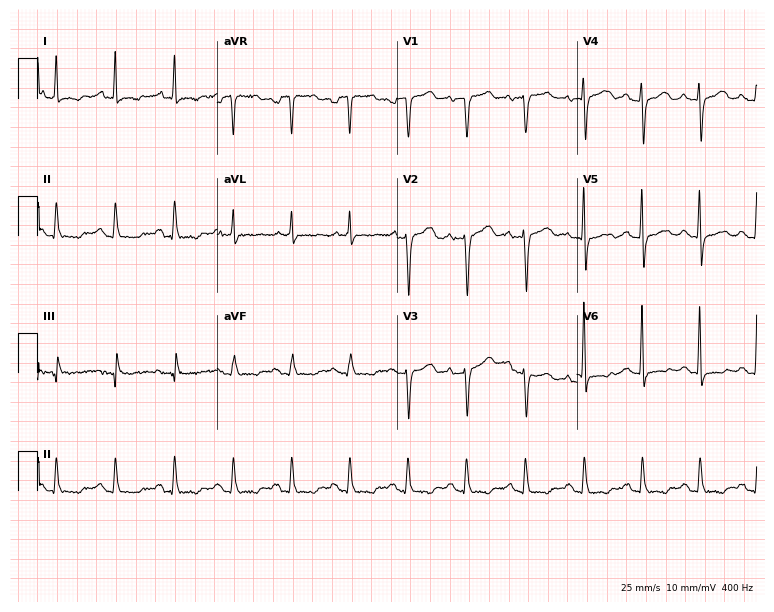
Electrocardiogram, a female, 85 years old. Interpretation includes sinus tachycardia (a sinus rate of 100 beats per minute or more).